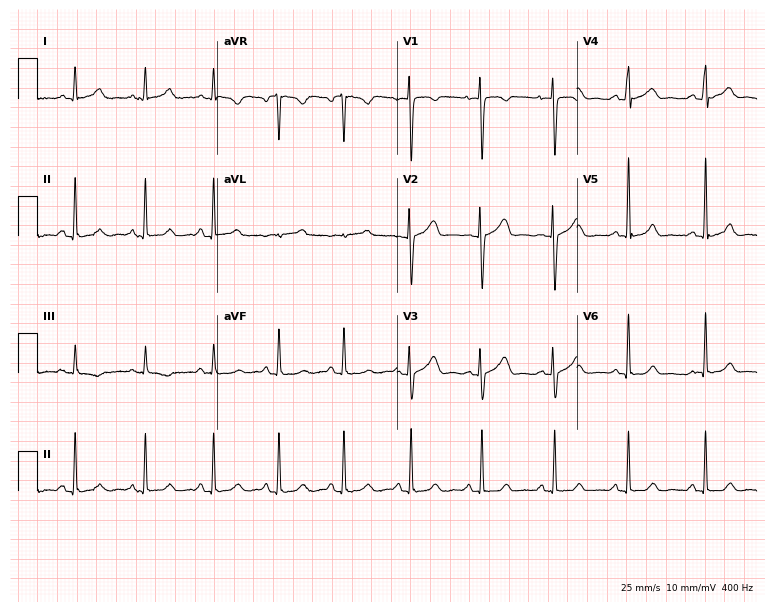
ECG — a 33-year-old female patient. Screened for six findings — first-degree AV block, right bundle branch block (RBBB), left bundle branch block (LBBB), sinus bradycardia, atrial fibrillation (AF), sinus tachycardia — none is recorded. Other findings, if any, are not listed.